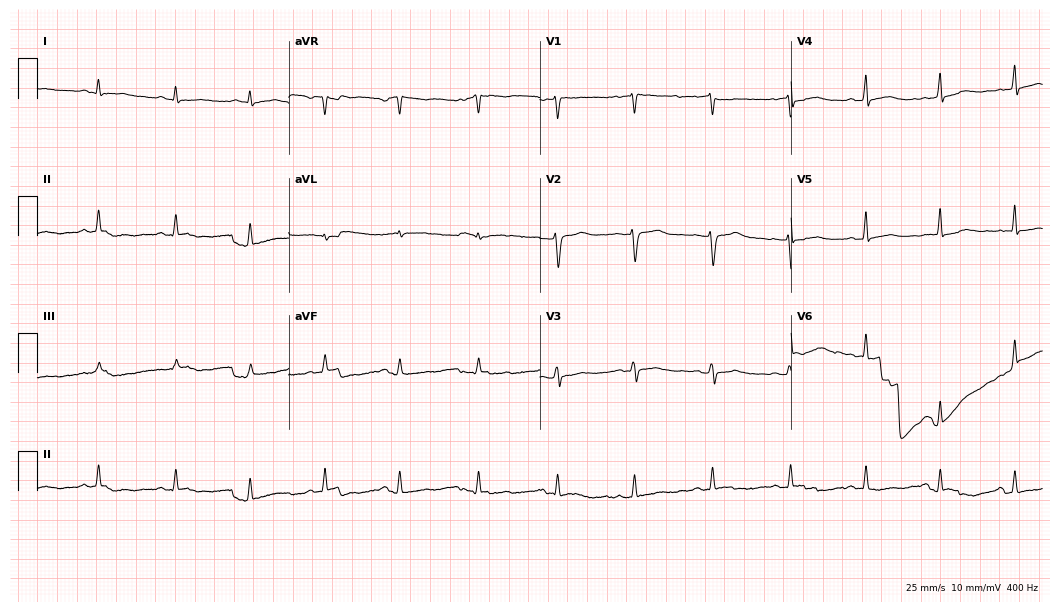
12-lead ECG from a 53-year-old male patient. Screened for six findings — first-degree AV block, right bundle branch block, left bundle branch block, sinus bradycardia, atrial fibrillation, sinus tachycardia — none is recorded.